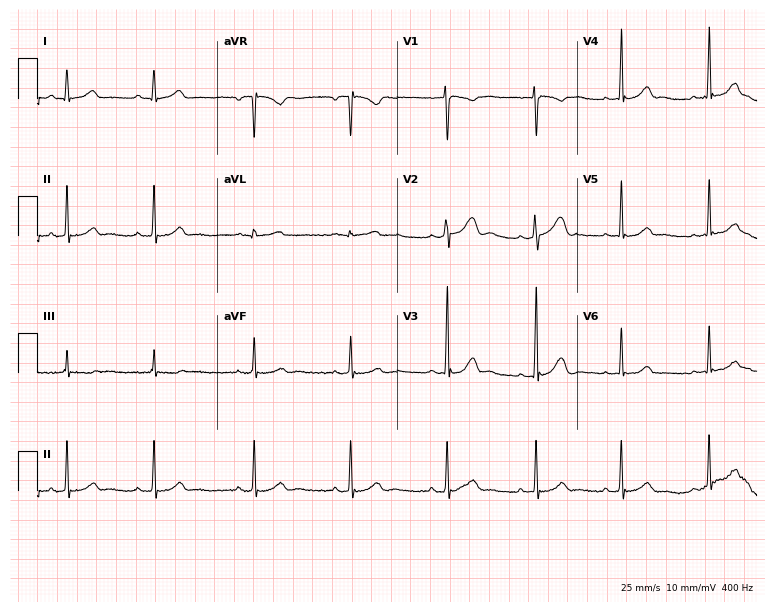
12-lead ECG from a woman, 17 years old (7.3-second recording at 400 Hz). Recorded interpretation: within normal limits.